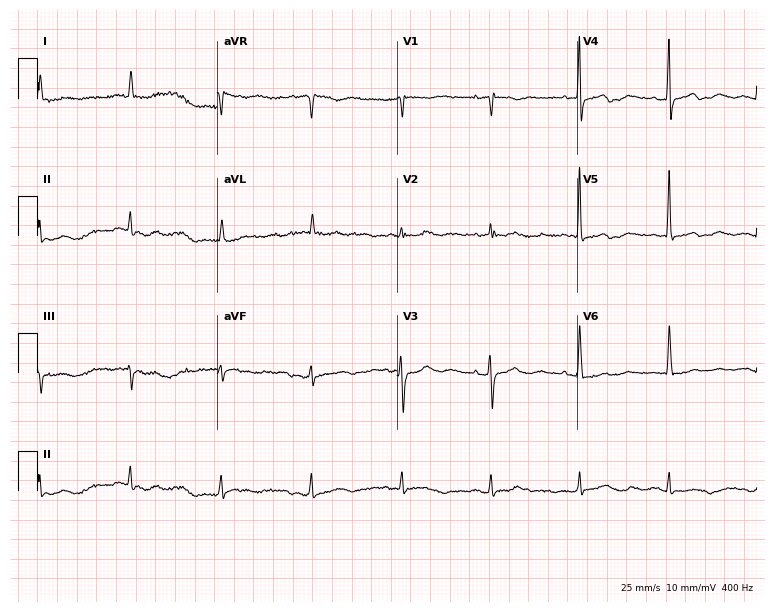
Resting 12-lead electrocardiogram (7.3-second recording at 400 Hz). Patient: an 80-year-old woman. Read as a normal ECG.